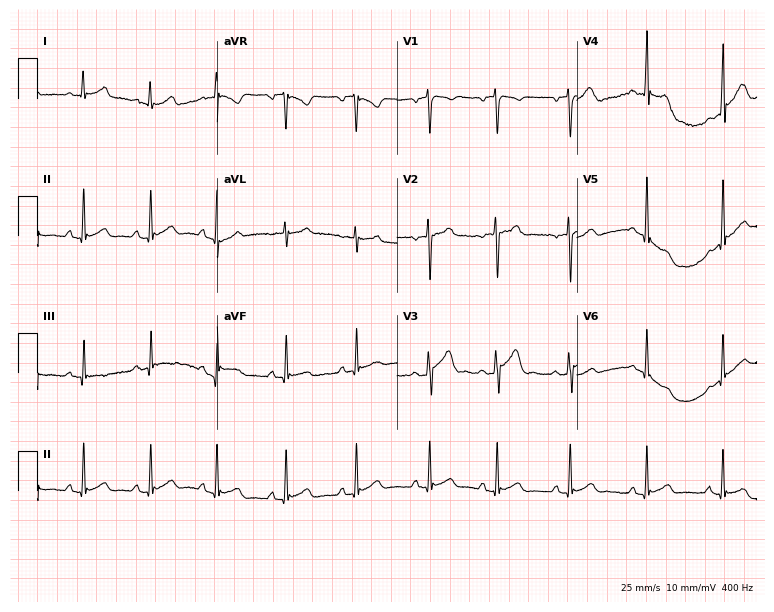
Standard 12-lead ECG recorded from a 24-year-old man. Read as a normal ECG.